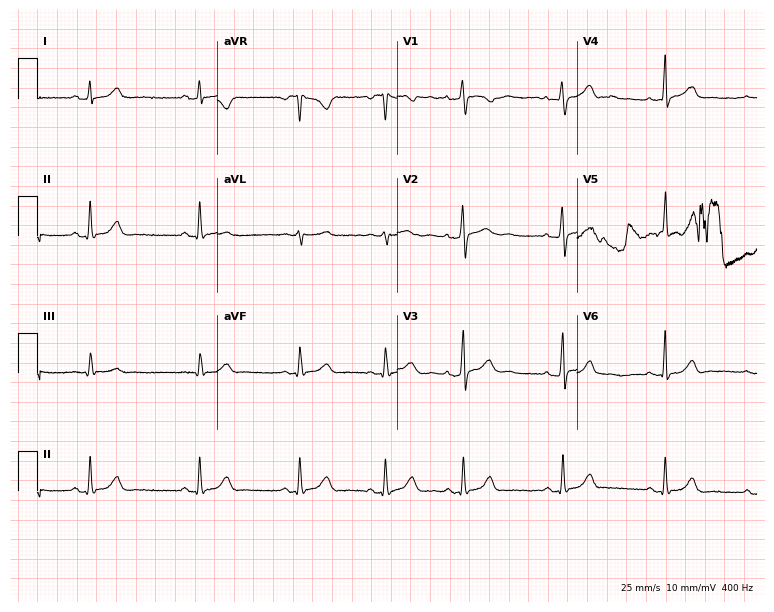
Electrocardiogram, a female, 27 years old. Overall reading on record: normal ECG.